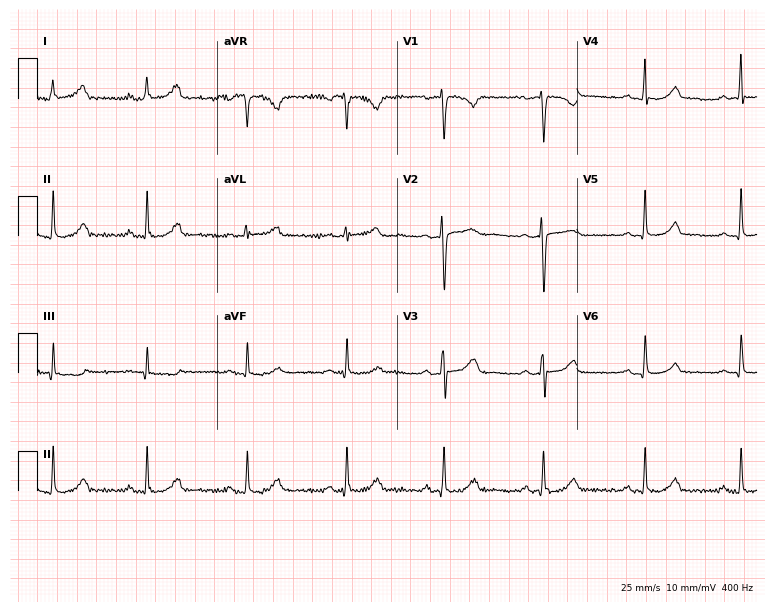
12-lead ECG from a 43-year-old female. Screened for six findings — first-degree AV block, right bundle branch block, left bundle branch block, sinus bradycardia, atrial fibrillation, sinus tachycardia — none is recorded.